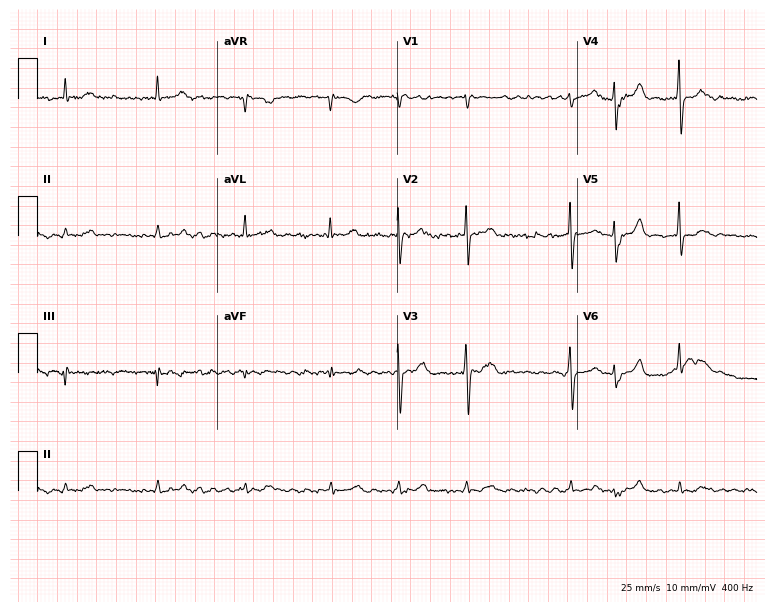
Electrocardiogram (7.3-second recording at 400 Hz), a man, 55 years old. Interpretation includes atrial fibrillation.